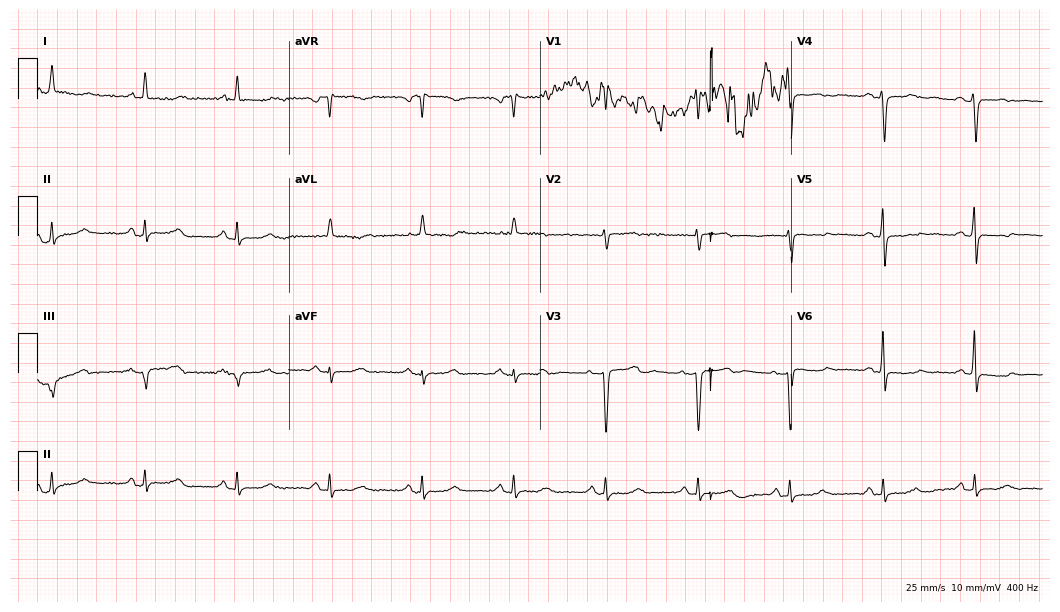
Electrocardiogram, a female, 74 years old. Of the six screened findings (first-degree AV block, right bundle branch block (RBBB), left bundle branch block (LBBB), sinus bradycardia, atrial fibrillation (AF), sinus tachycardia), none is recorded. Findings outside these six are not listed.